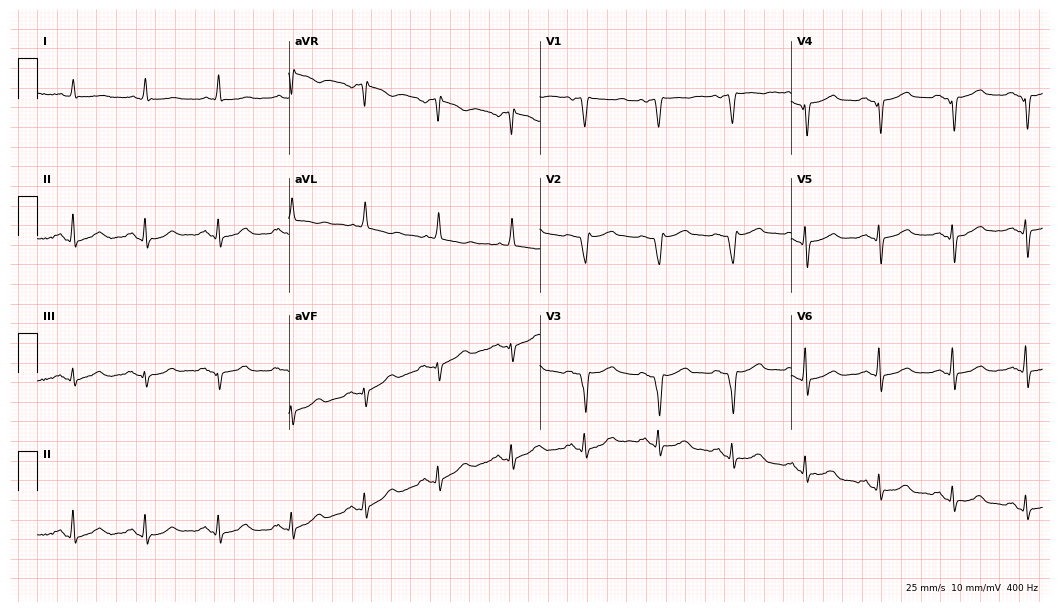
Resting 12-lead electrocardiogram (10.2-second recording at 400 Hz). Patient: an 84-year-old male. None of these six findings is recorded: first-degree AV block, right bundle branch block, left bundle branch block, sinus bradycardia, atrial fibrillation, sinus tachycardia.